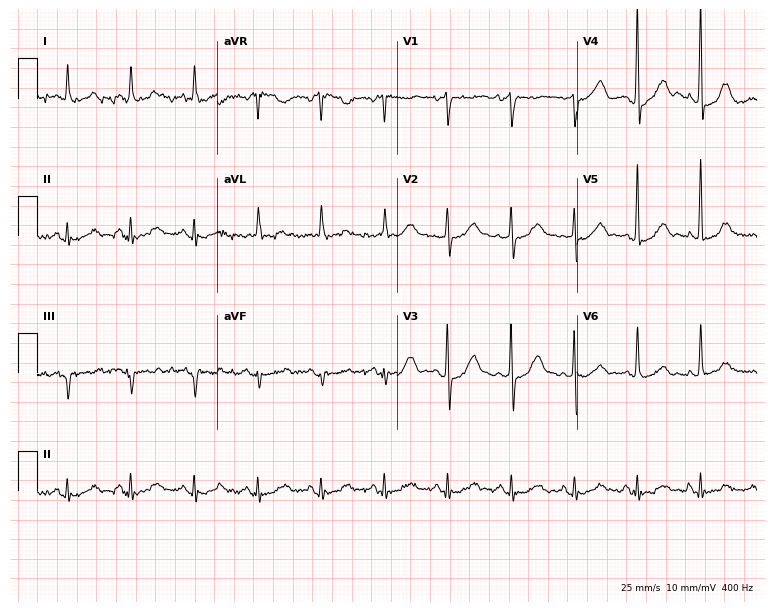
12-lead ECG from a 76-year-old male. Screened for six findings — first-degree AV block, right bundle branch block, left bundle branch block, sinus bradycardia, atrial fibrillation, sinus tachycardia — none is recorded.